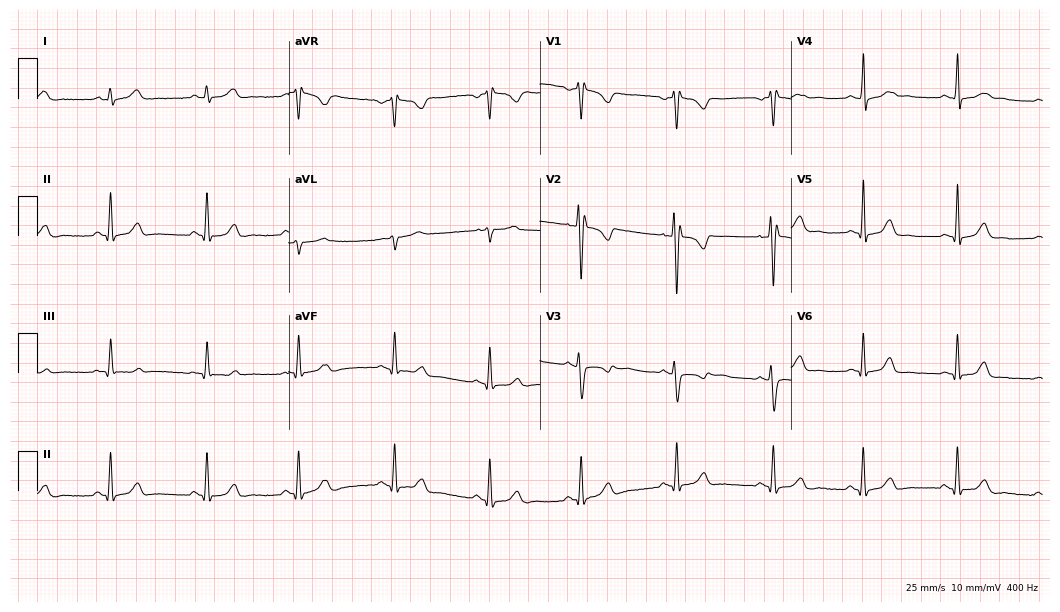
Electrocardiogram, a female, 19 years old. Of the six screened findings (first-degree AV block, right bundle branch block, left bundle branch block, sinus bradycardia, atrial fibrillation, sinus tachycardia), none is recorded. Findings outside these six are not listed.